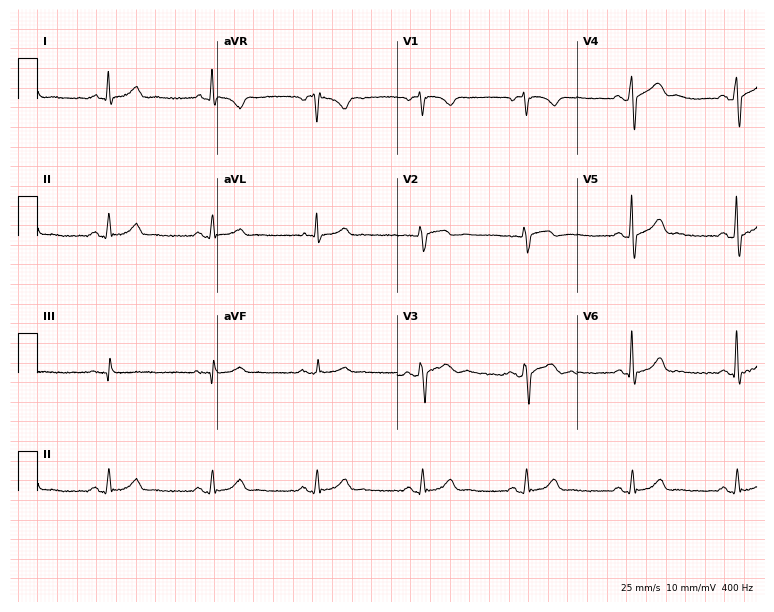
12-lead ECG from a 60-year-old male. Labelled as a normal ECG.